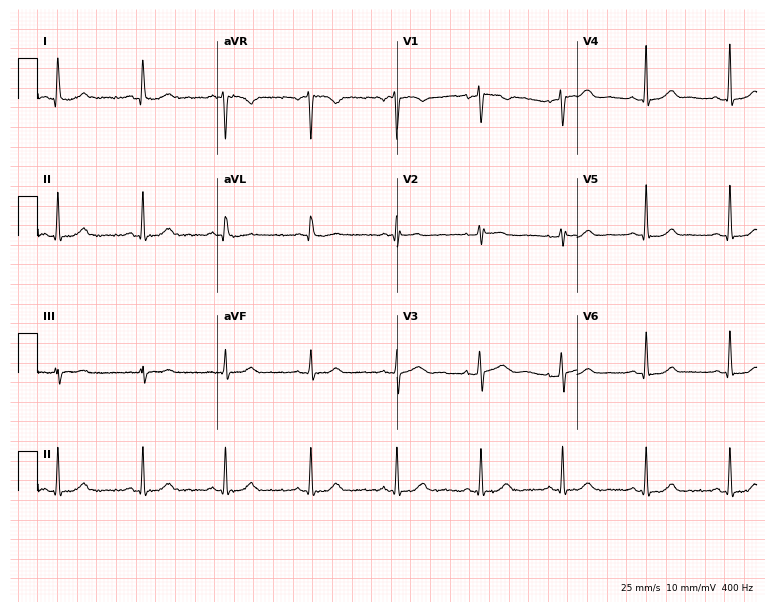
12-lead ECG (7.3-second recording at 400 Hz) from a 54-year-old female patient. Labelled as a normal ECG.